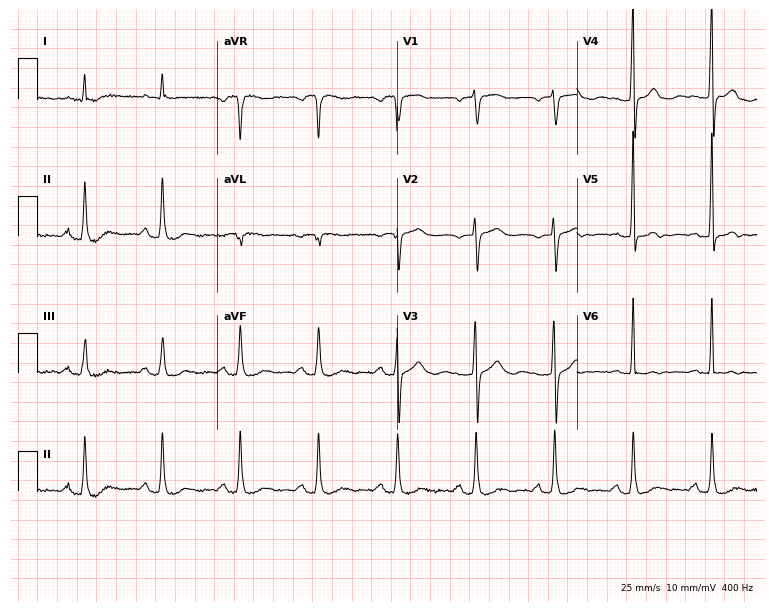
12-lead ECG (7.3-second recording at 400 Hz) from an 83-year-old female. Screened for six findings — first-degree AV block, right bundle branch block, left bundle branch block, sinus bradycardia, atrial fibrillation, sinus tachycardia — none is recorded.